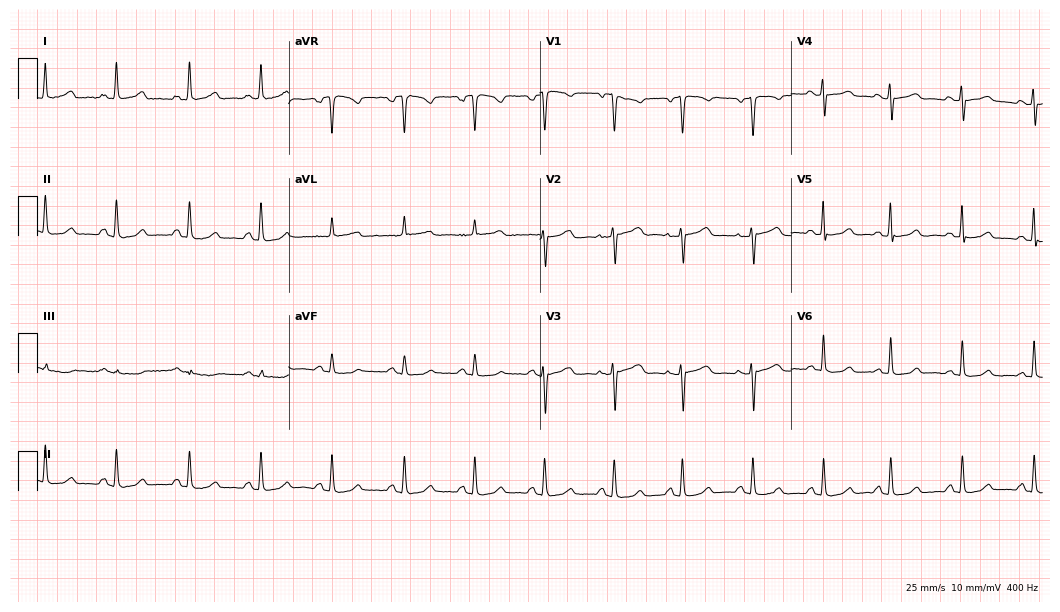
12-lead ECG from a female, 53 years old (10.2-second recording at 400 Hz). No first-degree AV block, right bundle branch block, left bundle branch block, sinus bradycardia, atrial fibrillation or sinus tachycardia recorded for this tracing. Other findings, if any, are not listed.